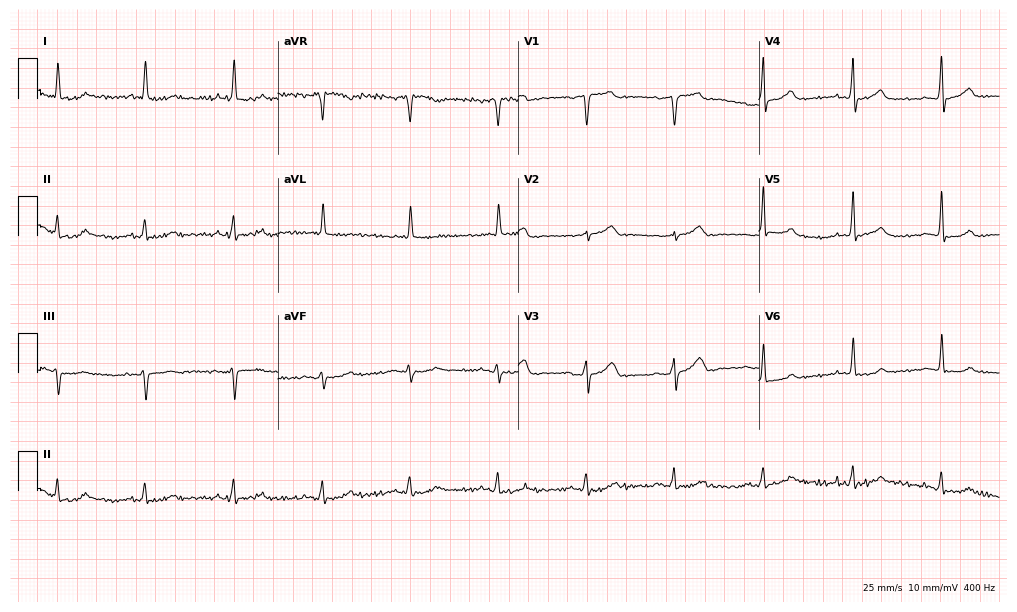
Resting 12-lead electrocardiogram (9.8-second recording at 400 Hz). Patient: a male, 79 years old. Read as a normal ECG.